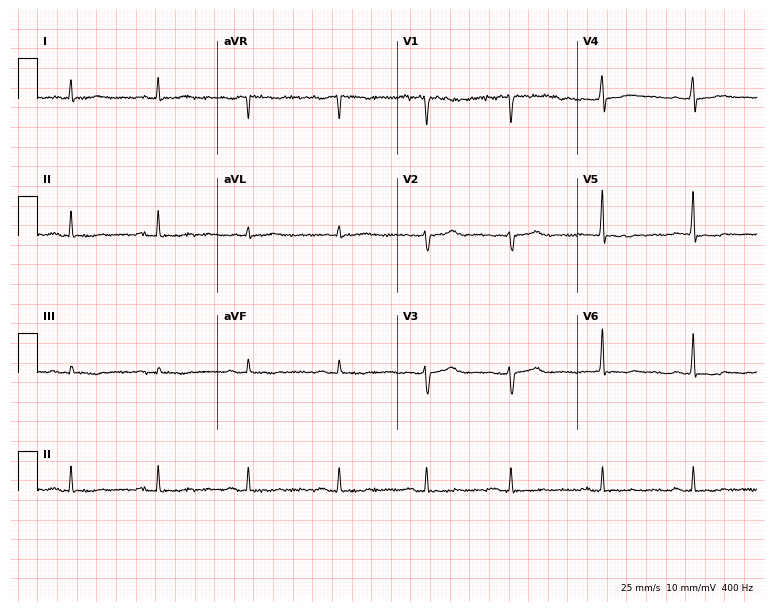
Resting 12-lead electrocardiogram. Patient: a female, 29 years old. None of these six findings is recorded: first-degree AV block, right bundle branch block, left bundle branch block, sinus bradycardia, atrial fibrillation, sinus tachycardia. Only these six findings were labelled.